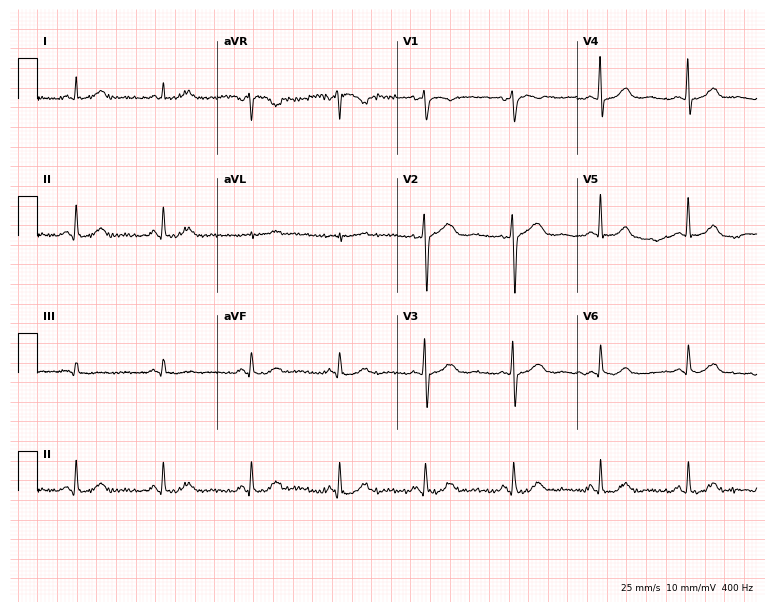
ECG — a woman, 51 years old. Screened for six findings — first-degree AV block, right bundle branch block, left bundle branch block, sinus bradycardia, atrial fibrillation, sinus tachycardia — none is recorded.